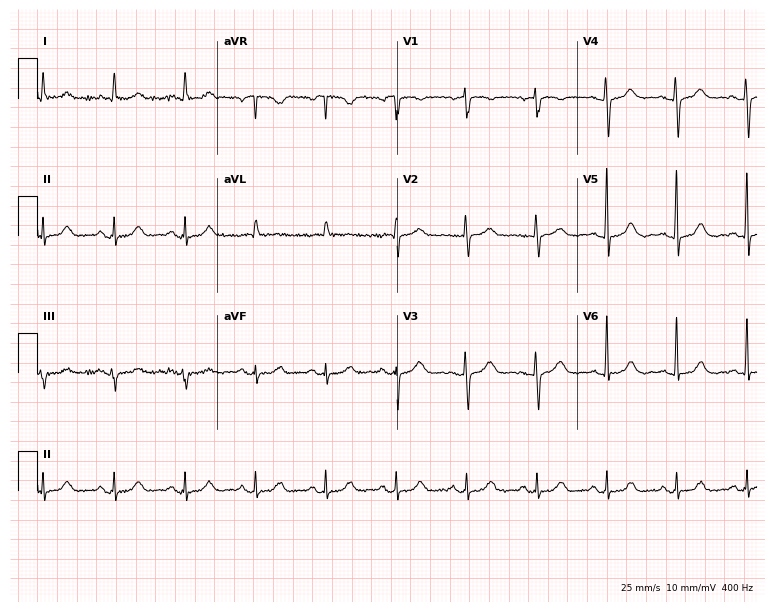
Standard 12-lead ECG recorded from an 84-year-old woman (7.3-second recording at 400 Hz). Read as a normal ECG.